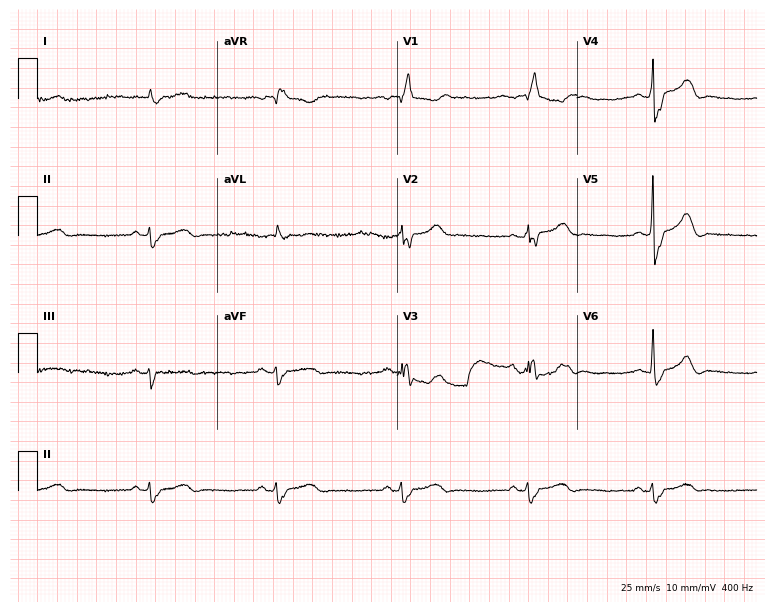
ECG (7.3-second recording at 400 Hz) — a 66-year-old man. Findings include right bundle branch block, sinus bradycardia (a sinus rate of 50 beats per minute or less).